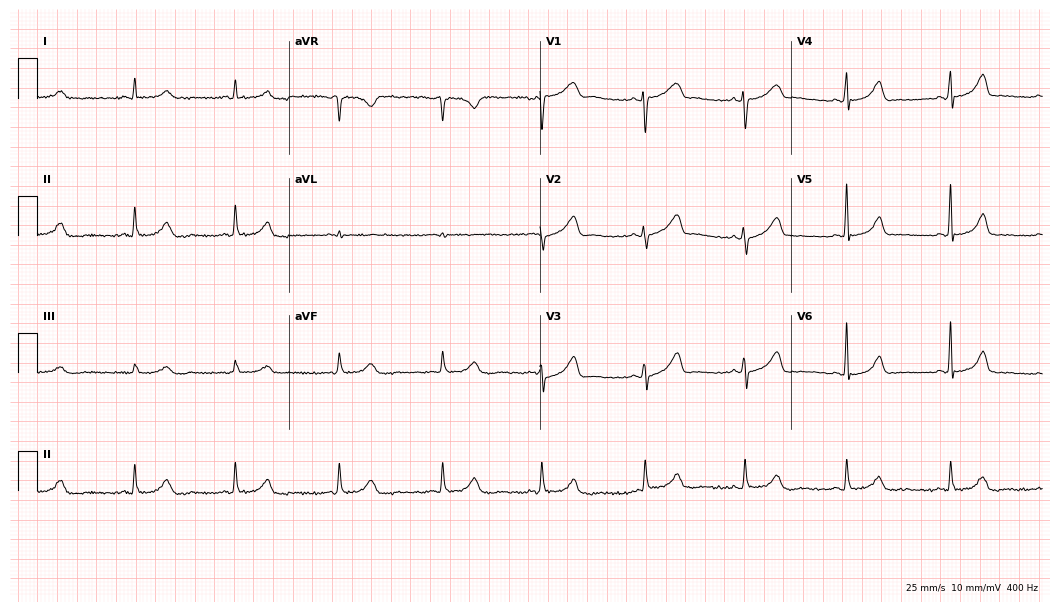
Standard 12-lead ECG recorded from a female, 55 years old. None of these six findings is recorded: first-degree AV block, right bundle branch block, left bundle branch block, sinus bradycardia, atrial fibrillation, sinus tachycardia. Other findings, if any, are not listed.